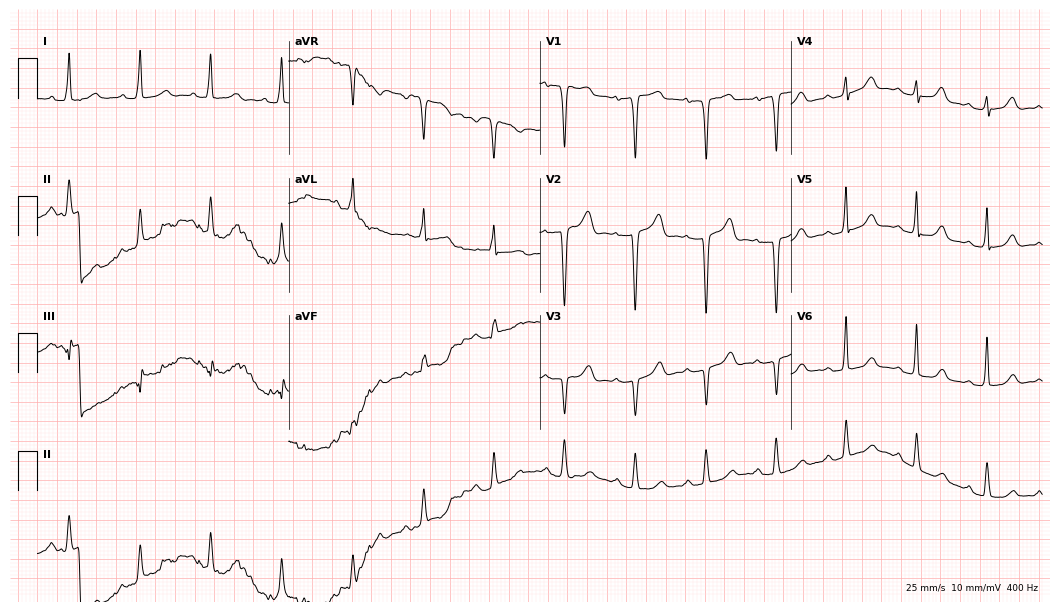
Standard 12-lead ECG recorded from a woman, 79 years old (10.2-second recording at 400 Hz). None of these six findings is recorded: first-degree AV block, right bundle branch block, left bundle branch block, sinus bradycardia, atrial fibrillation, sinus tachycardia. Findings outside these six are not listed.